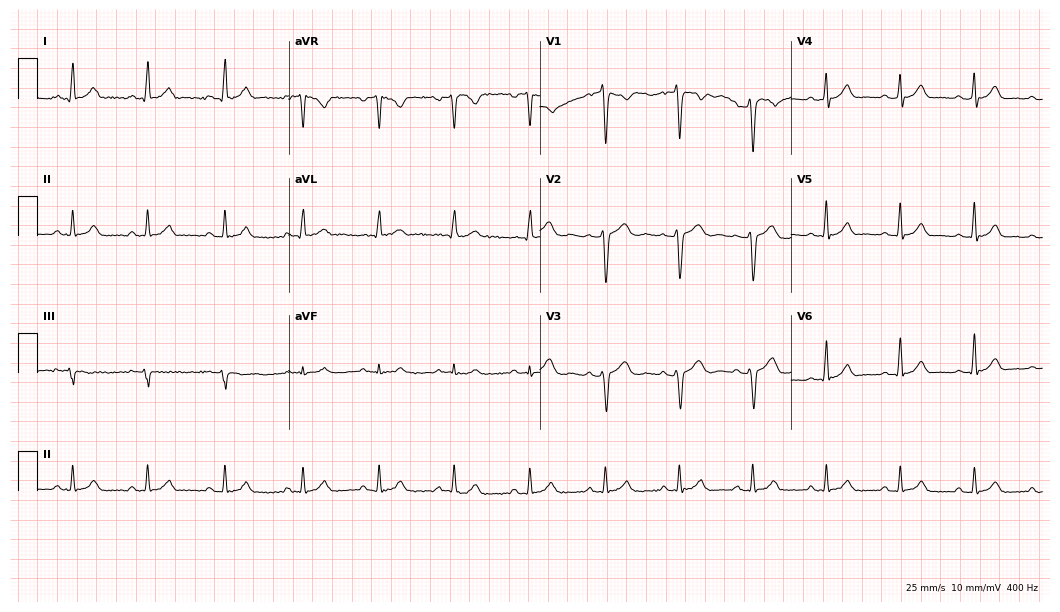
12-lead ECG from a male, 37 years old (10.2-second recording at 400 Hz). Recorded interpretation: within normal limits.